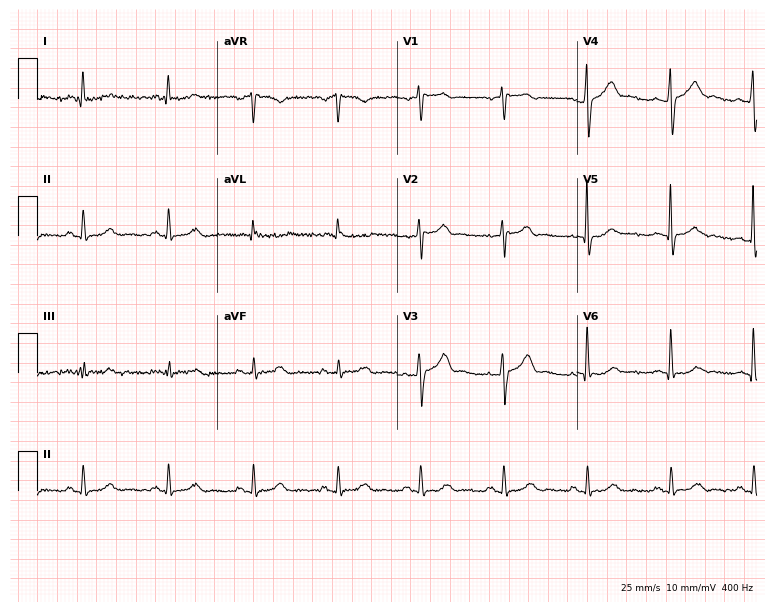
Electrocardiogram (7.3-second recording at 400 Hz), a man, 68 years old. Of the six screened findings (first-degree AV block, right bundle branch block (RBBB), left bundle branch block (LBBB), sinus bradycardia, atrial fibrillation (AF), sinus tachycardia), none is recorded.